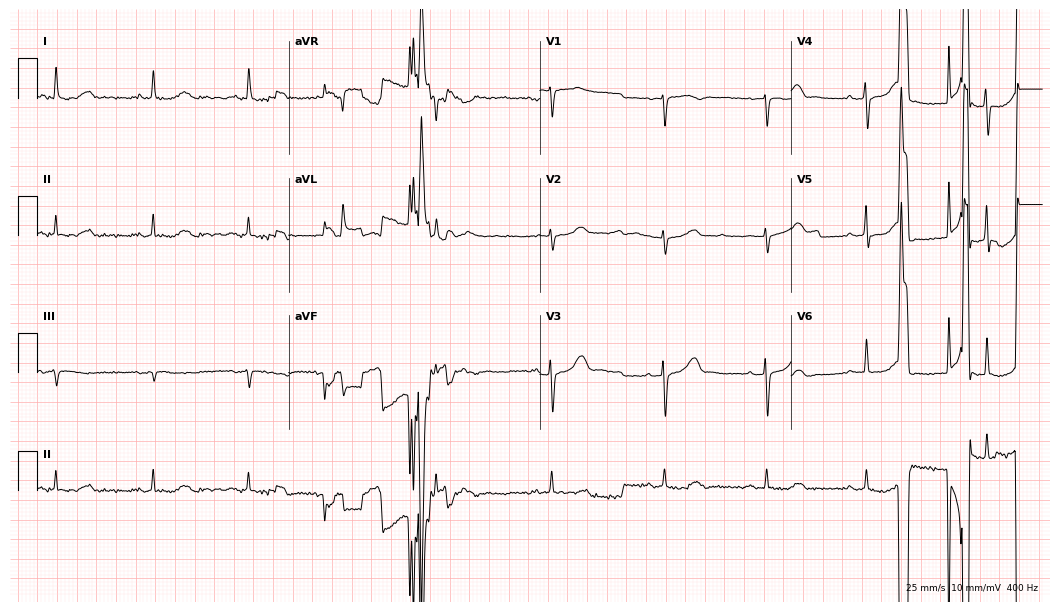
Standard 12-lead ECG recorded from a 56-year-old woman (10.2-second recording at 400 Hz). Read as a normal ECG.